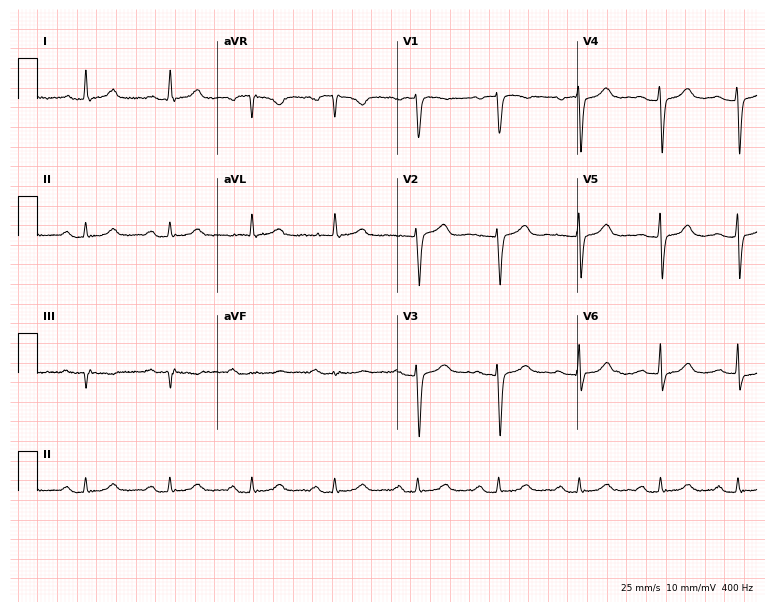
Standard 12-lead ECG recorded from a female, 65 years old. Read as a normal ECG.